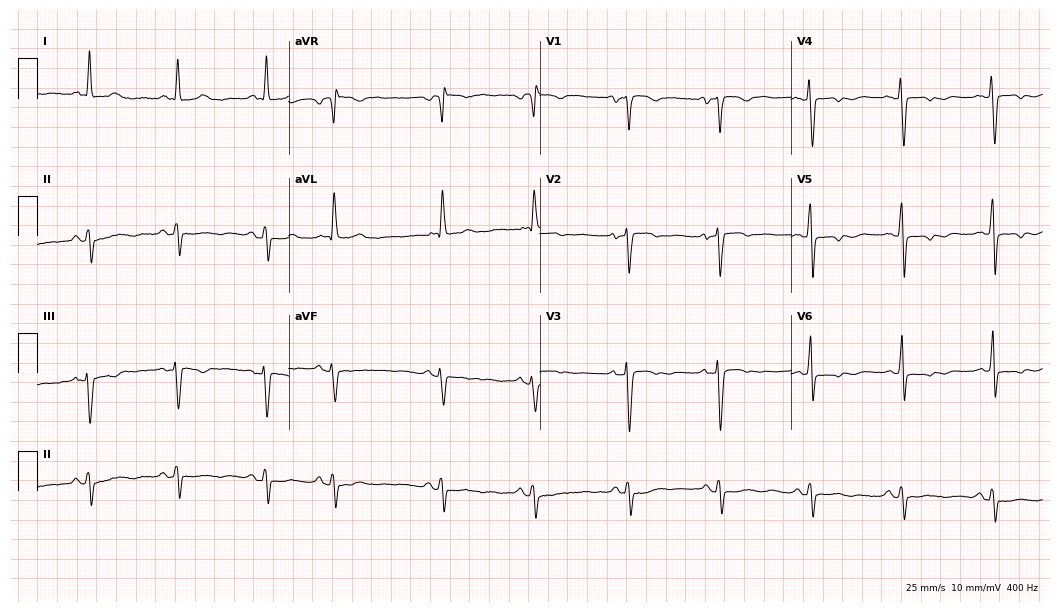
12-lead ECG from an 81-year-old female (10.2-second recording at 400 Hz). No first-degree AV block, right bundle branch block, left bundle branch block, sinus bradycardia, atrial fibrillation or sinus tachycardia recorded for this tracing.